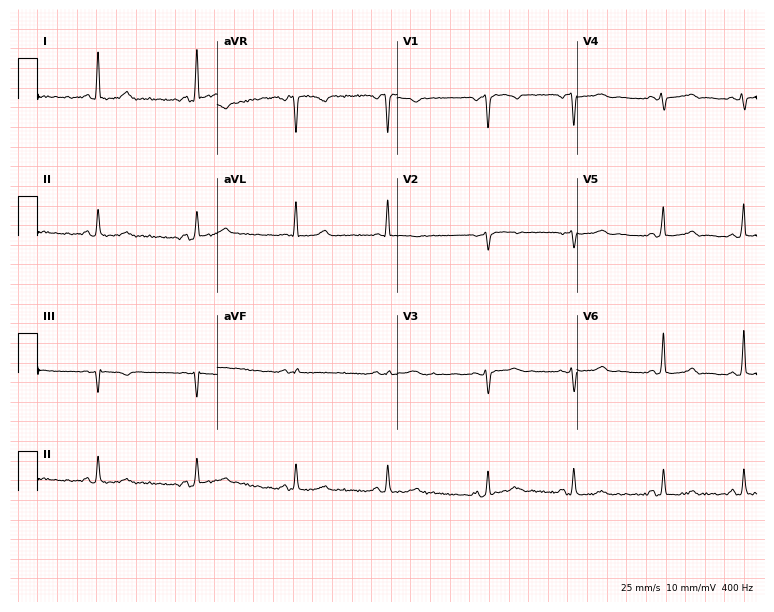
ECG — a woman, 38 years old. Screened for six findings — first-degree AV block, right bundle branch block (RBBB), left bundle branch block (LBBB), sinus bradycardia, atrial fibrillation (AF), sinus tachycardia — none is recorded.